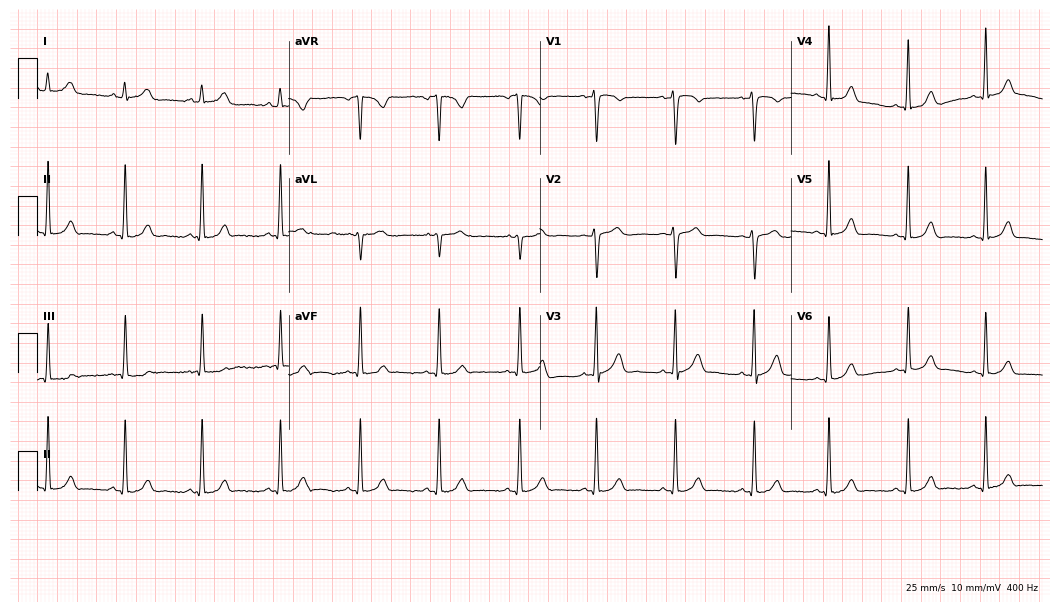
Standard 12-lead ECG recorded from a woman, 23 years old. None of these six findings is recorded: first-degree AV block, right bundle branch block, left bundle branch block, sinus bradycardia, atrial fibrillation, sinus tachycardia.